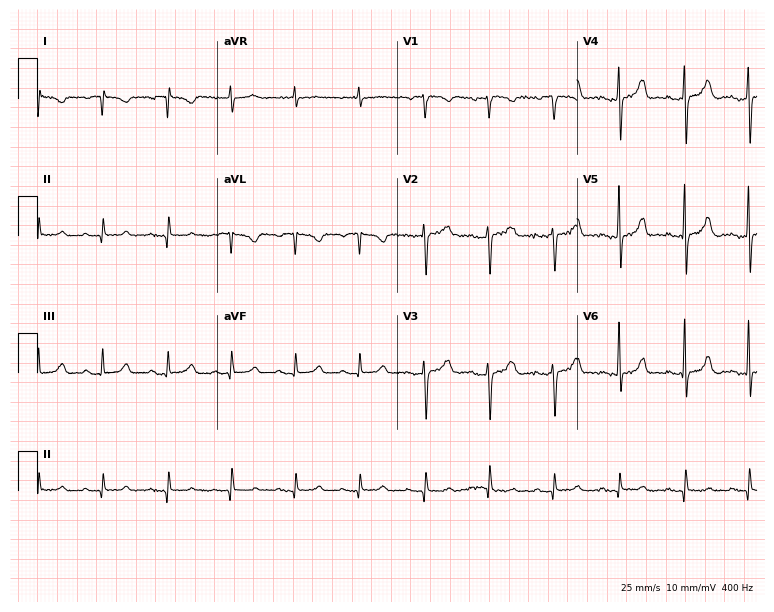
ECG — a female patient, 81 years old. Screened for six findings — first-degree AV block, right bundle branch block (RBBB), left bundle branch block (LBBB), sinus bradycardia, atrial fibrillation (AF), sinus tachycardia — none is recorded. Findings outside these six are not listed.